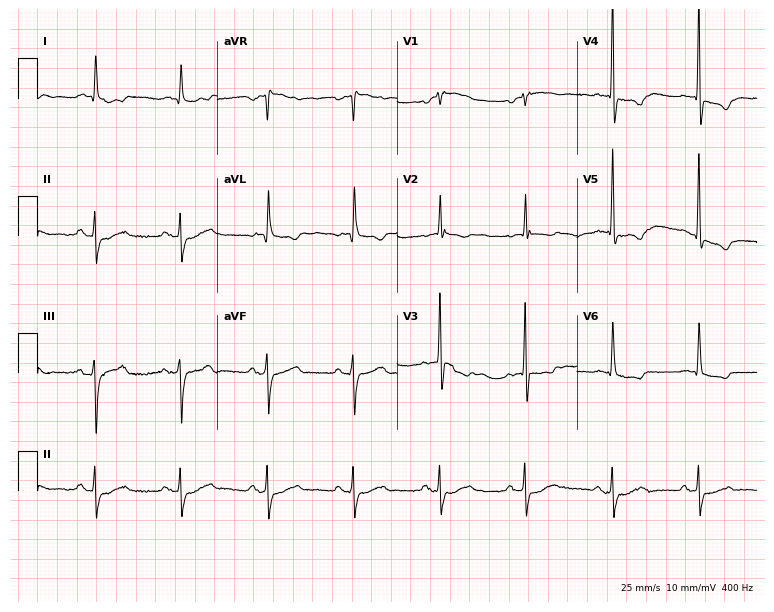
Electrocardiogram, a male patient, 59 years old. Of the six screened findings (first-degree AV block, right bundle branch block, left bundle branch block, sinus bradycardia, atrial fibrillation, sinus tachycardia), none is recorded.